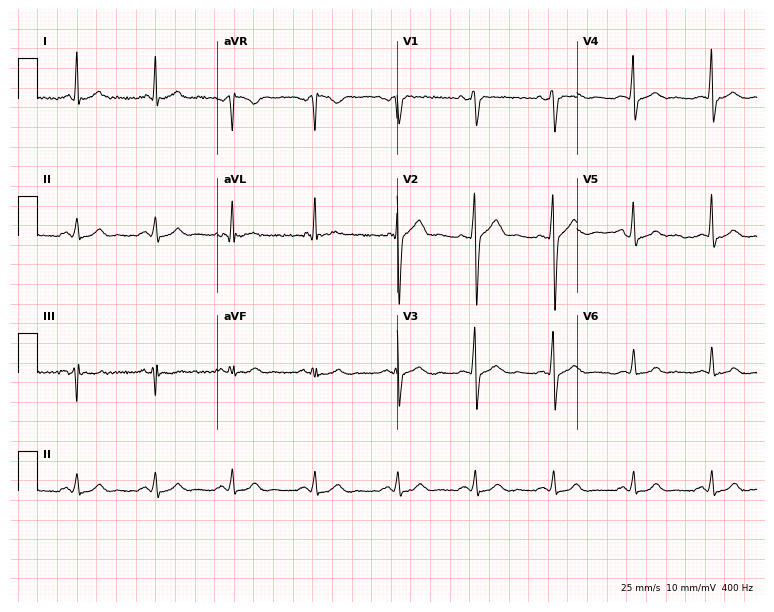
ECG — a 27-year-old male patient. Labelled as a normal ECG.